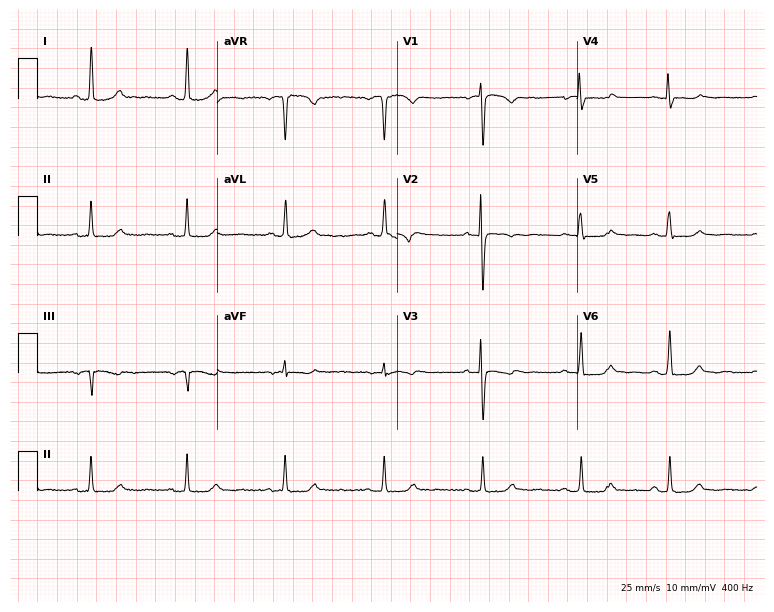
12-lead ECG from a 79-year-old female. Screened for six findings — first-degree AV block, right bundle branch block (RBBB), left bundle branch block (LBBB), sinus bradycardia, atrial fibrillation (AF), sinus tachycardia — none is recorded. Other findings, if any, are not listed.